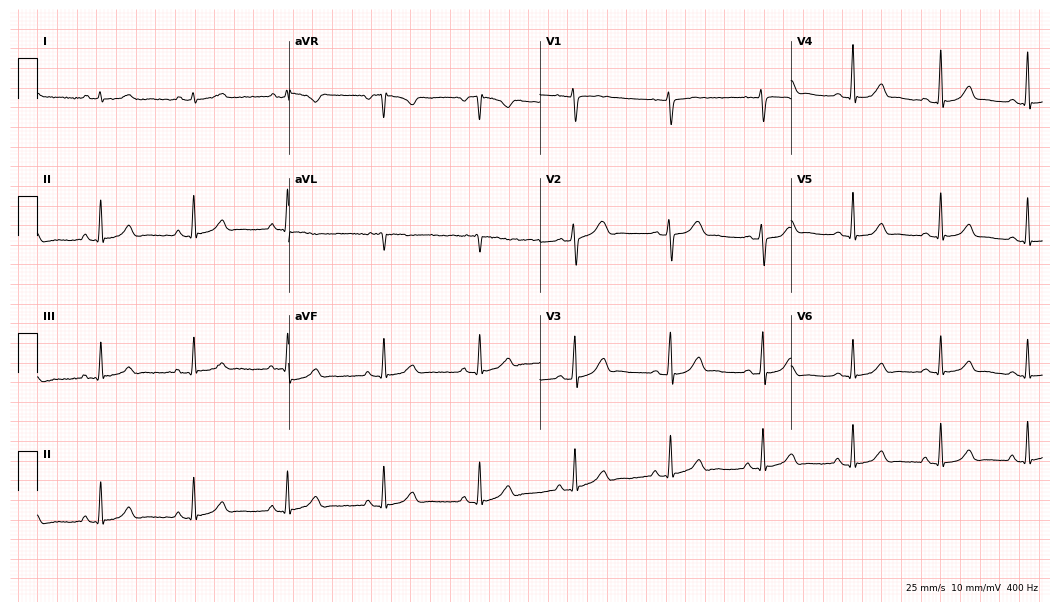
ECG — a 34-year-old female patient. Screened for six findings — first-degree AV block, right bundle branch block (RBBB), left bundle branch block (LBBB), sinus bradycardia, atrial fibrillation (AF), sinus tachycardia — none is recorded. Other findings, if any, are not listed.